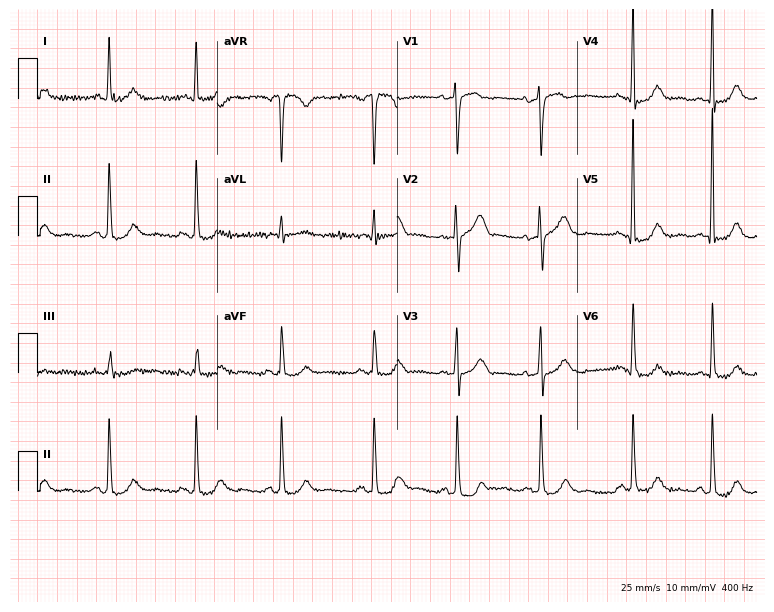
Standard 12-lead ECG recorded from a 78-year-old woman. None of these six findings is recorded: first-degree AV block, right bundle branch block (RBBB), left bundle branch block (LBBB), sinus bradycardia, atrial fibrillation (AF), sinus tachycardia. Only these six findings were labelled.